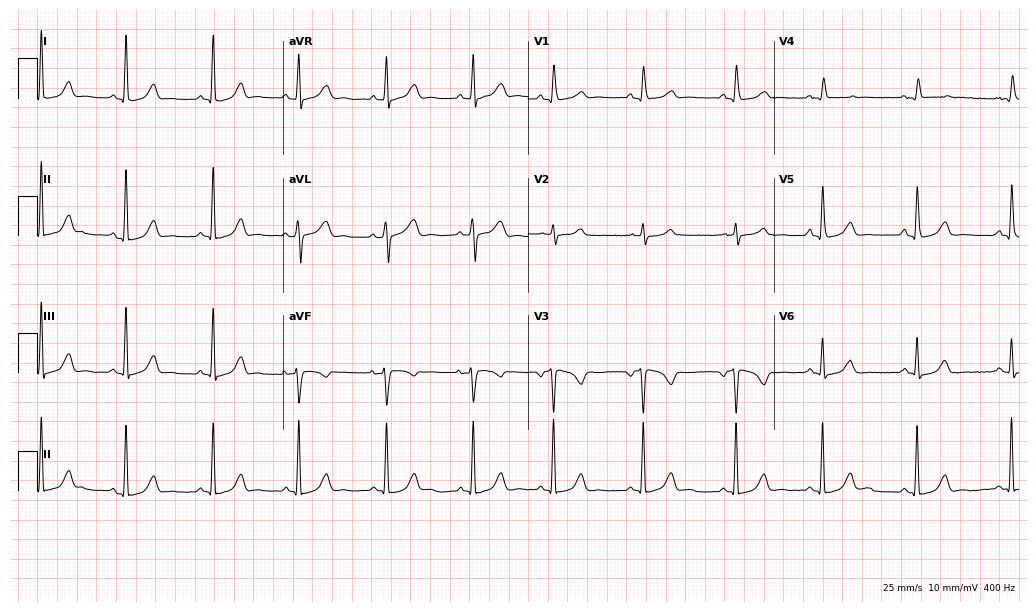
12-lead ECG from a female patient, 37 years old (10-second recording at 400 Hz). No first-degree AV block, right bundle branch block (RBBB), left bundle branch block (LBBB), sinus bradycardia, atrial fibrillation (AF) or sinus tachycardia recorded for this tracing. Other findings, if any, are not listed.